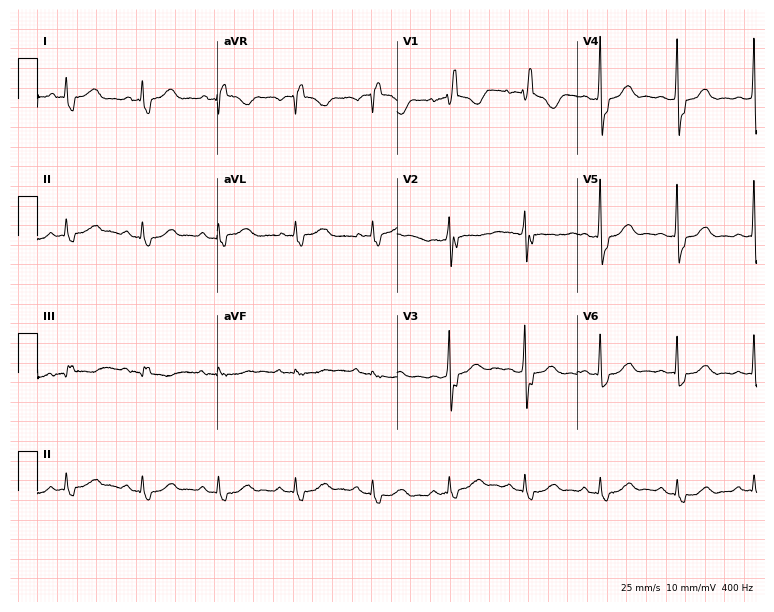
12-lead ECG from a female patient, 58 years old. Shows right bundle branch block.